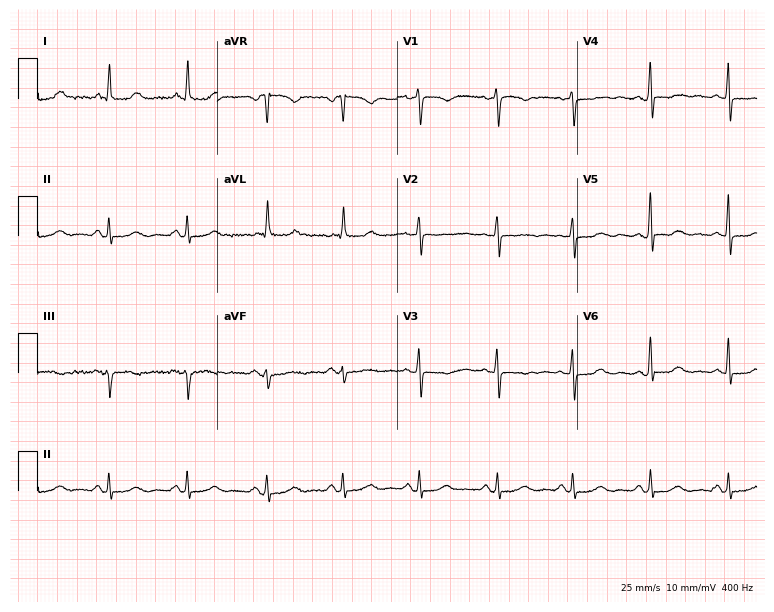
Resting 12-lead electrocardiogram (7.3-second recording at 400 Hz). Patient: a female, 69 years old. None of these six findings is recorded: first-degree AV block, right bundle branch block, left bundle branch block, sinus bradycardia, atrial fibrillation, sinus tachycardia. Other findings, if any, are not listed.